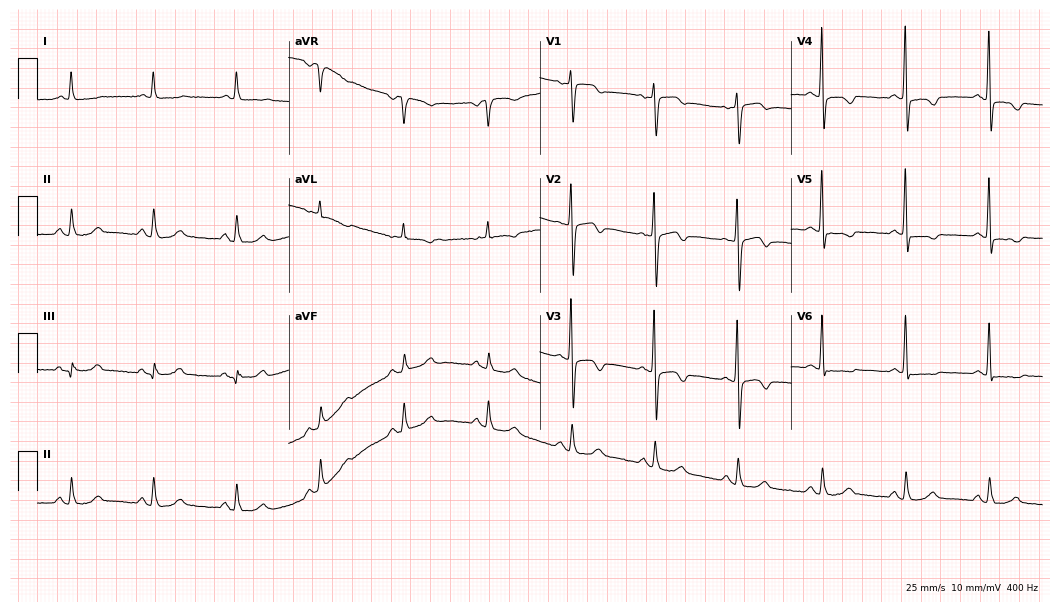
12-lead ECG from a 72-year-old female. Screened for six findings — first-degree AV block, right bundle branch block, left bundle branch block, sinus bradycardia, atrial fibrillation, sinus tachycardia — none is recorded.